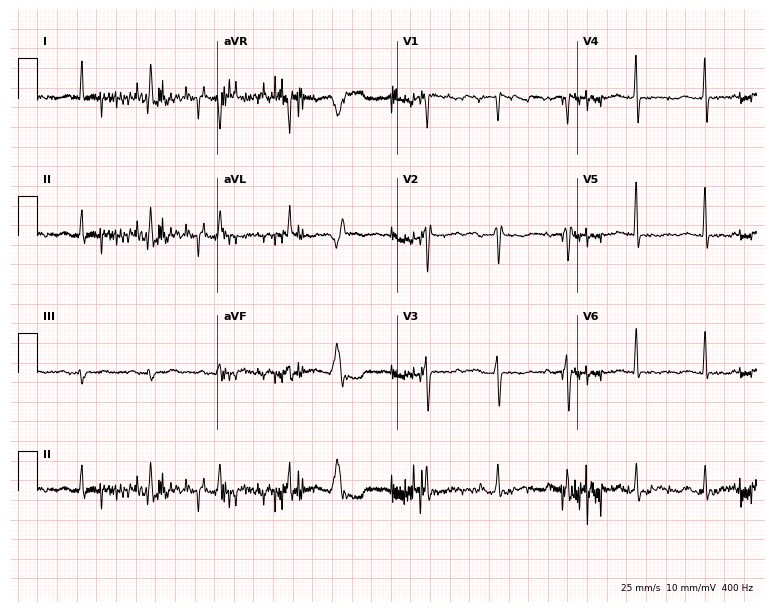
Standard 12-lead ECG recorded from an 80-year-old woman. None of these six findings is recorded: first-degree AV block, right bundle branch block, left bundle branch block, sinus bradycardia, atrial fibrillation, sinus tachycardia.